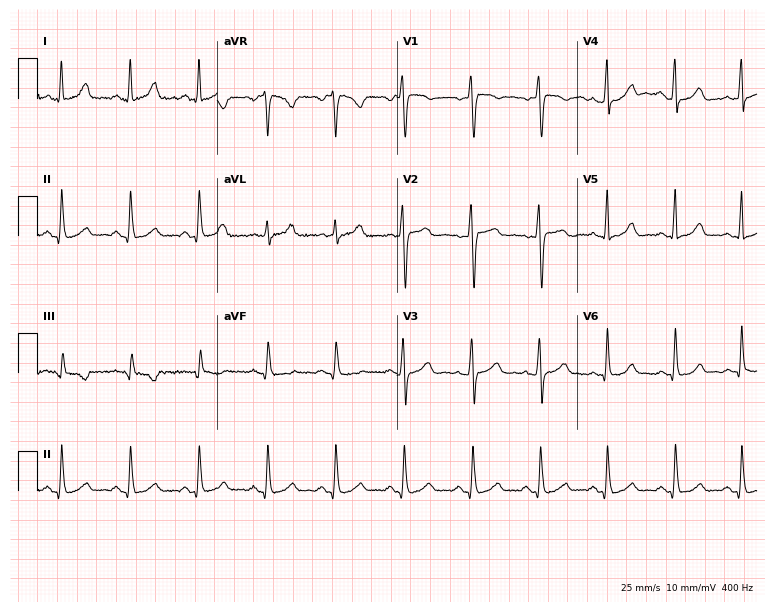
ECG (7.3-second recording at 400 Hz) — a 36-year-old woman. Labelled as a normal ECG.